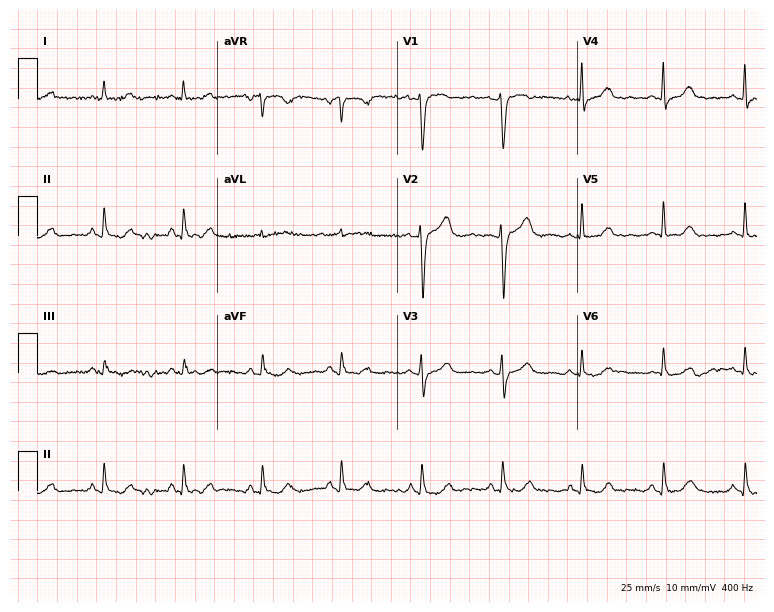
Standard 12-lead ECG recorded from a female, 49 years old (7.3-second recording at 400 Hz). None of these six findings is recorded: first-degree AV block, right bundle branch block, left bundle branch block, sinus bradycardia, atrial fibrillation, sinus tachycardia. Only these six findings were labelled.